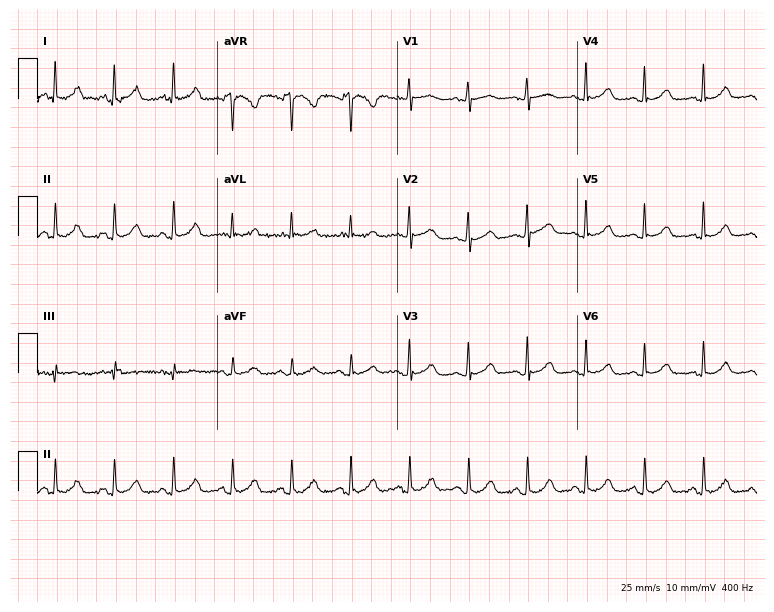
12-lead ECG from a woman, 62 years old (7.3-second recording at 400 Hz). Recorded interpretation: within normal limits.